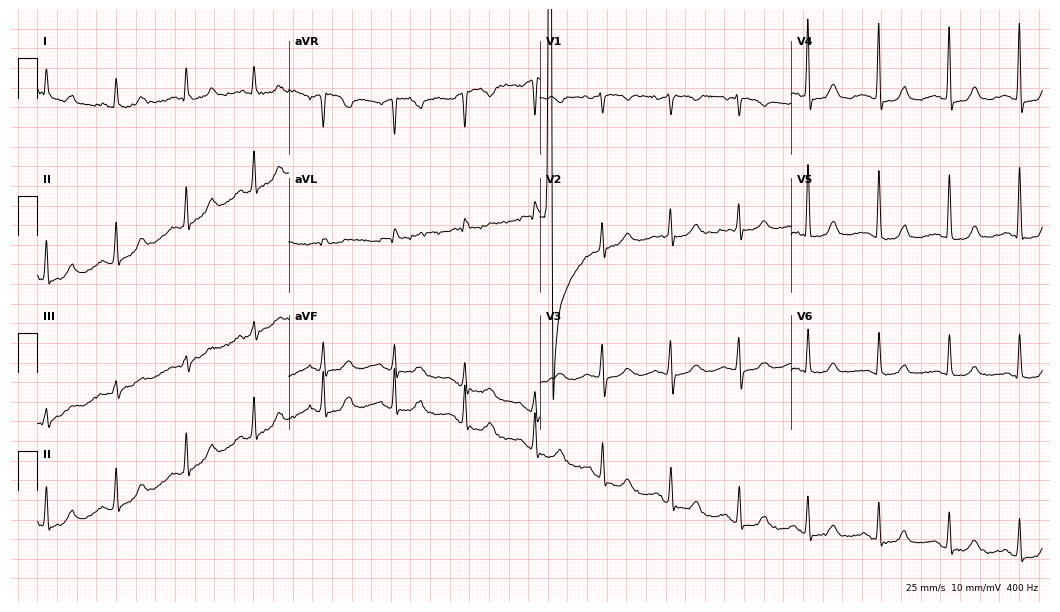
12-lead ECG from a female patient, 69 years old (10.2-second recording at 400 Hz). Recorded interpretation: within normal limits.